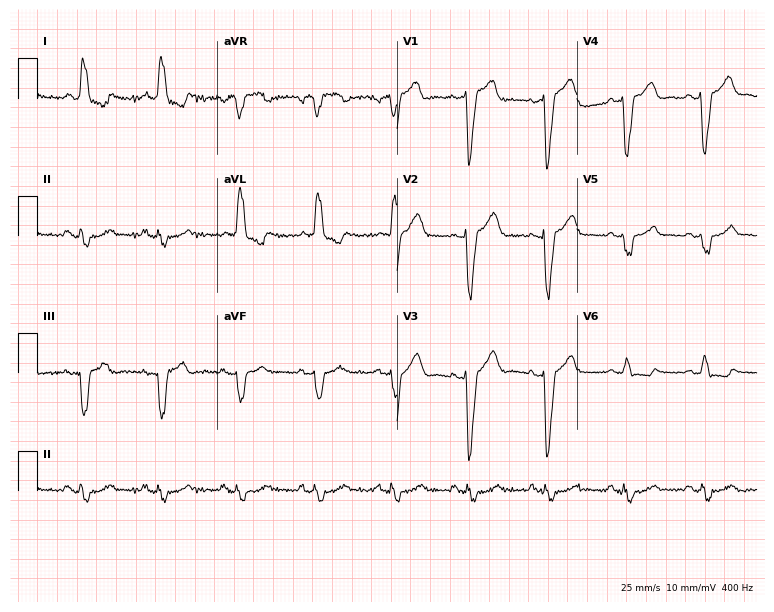
12-lead ECG from a female, 68 years old. Shows left bundle branch block.